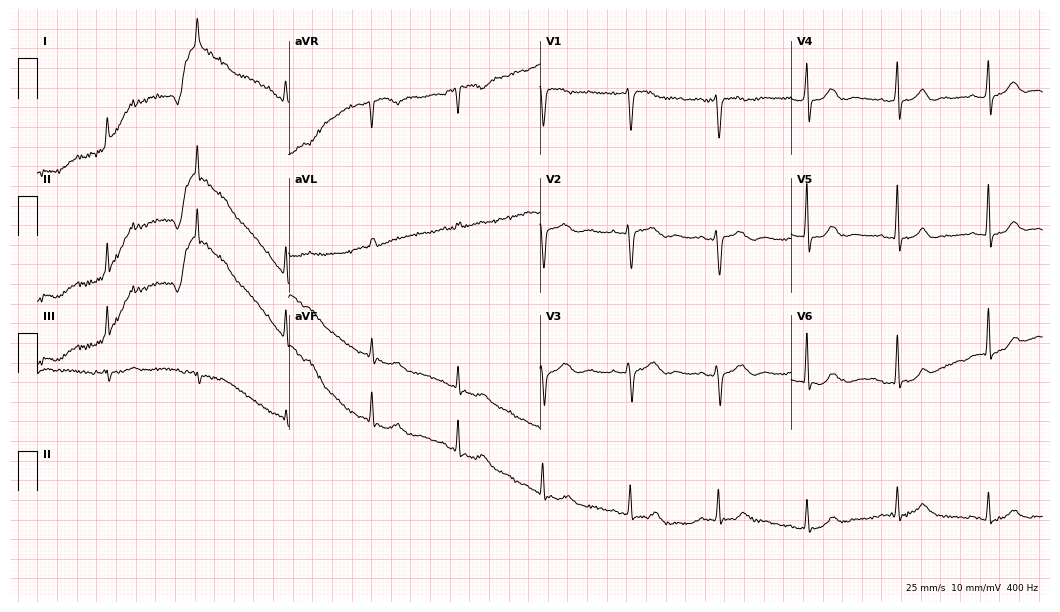
Electrocardiogram (10.2-second recording at 400 Hz), a 48-year-old female. Of the six screened findings (first-degree AV block, right bundle branch block, left bundle branch block, sinus bradycardia, atrial fibrillation, sinus tachycardia), none is recorded. Findings outside these six are not listed.